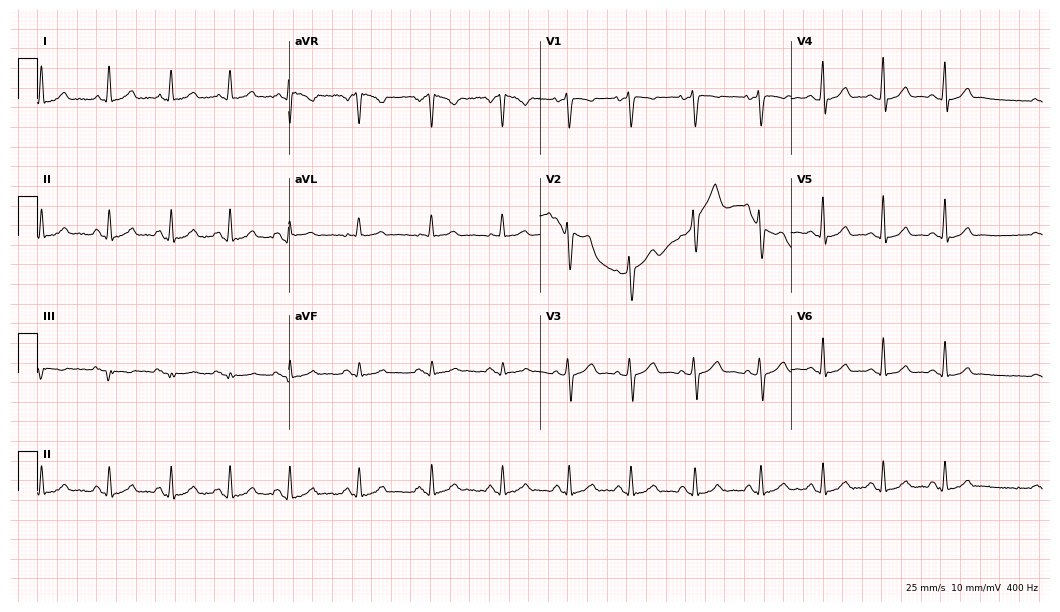
Resting 12-lead electrocardiogram. Patient: a female, 28 years old. Read as a normal ECG.